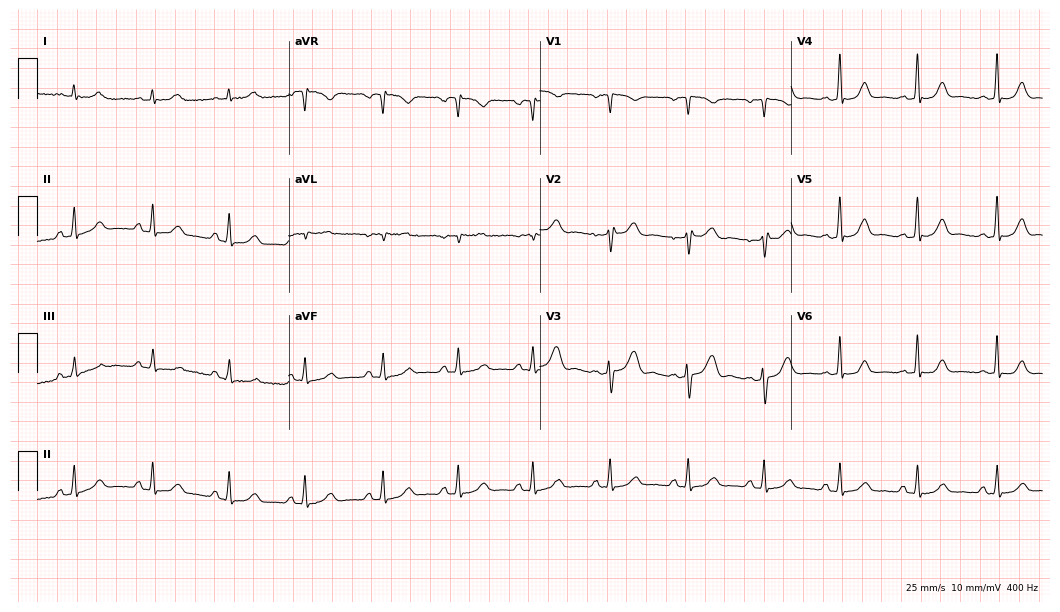
Standard 12-lead ECG recorded from a 49-year-old female (10.2-second recording at 400 Hz). None of these six findings is recorded: first-degree AV block, right bundle branch block, left bundle branch block, sinus bradycardia, atrial fibrillation, sinus tachycardia.